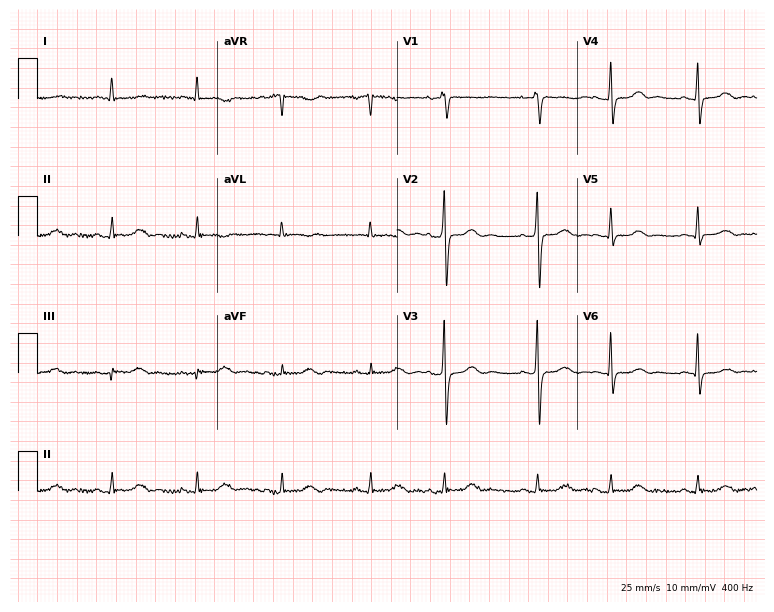
12-lead ECG (7.3-second recording at 400 Hz) from a 76-year-old woman. Screened for six findings — first-degree AV block, right bundle branch block (RBBB), left bundle branch block (LBBB), sinus bradycardia, atrial fibrillation (AF), sinus tachycardia — none is recorded. Other findings, if any, are not listed.